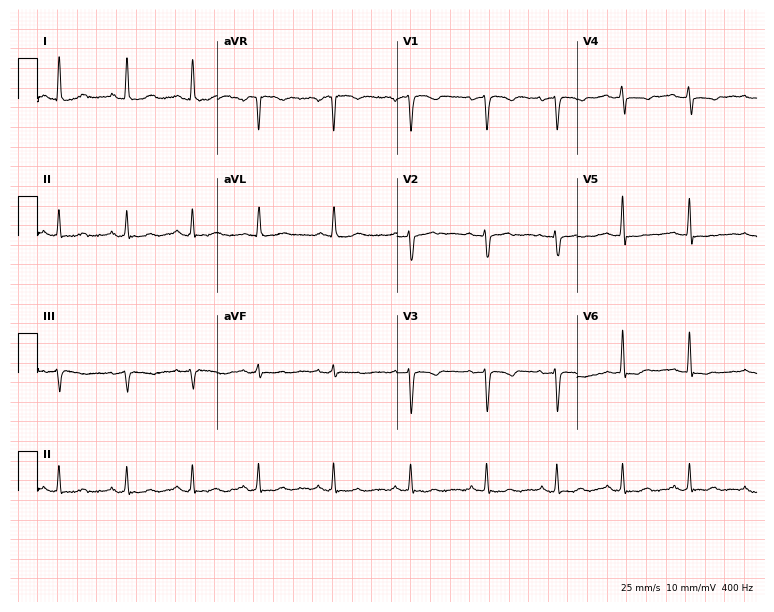
Electrocardiogram (7.3-second recording at 400 Hz), a 53-year-old woman. Of the six screened findings (first-degree AV block, right bundle branch block, left bundle branch block, sinus bradycardia, atrial fibrillation, sinus tachycardia), none is recorded. Other findings, if any, are not listed.